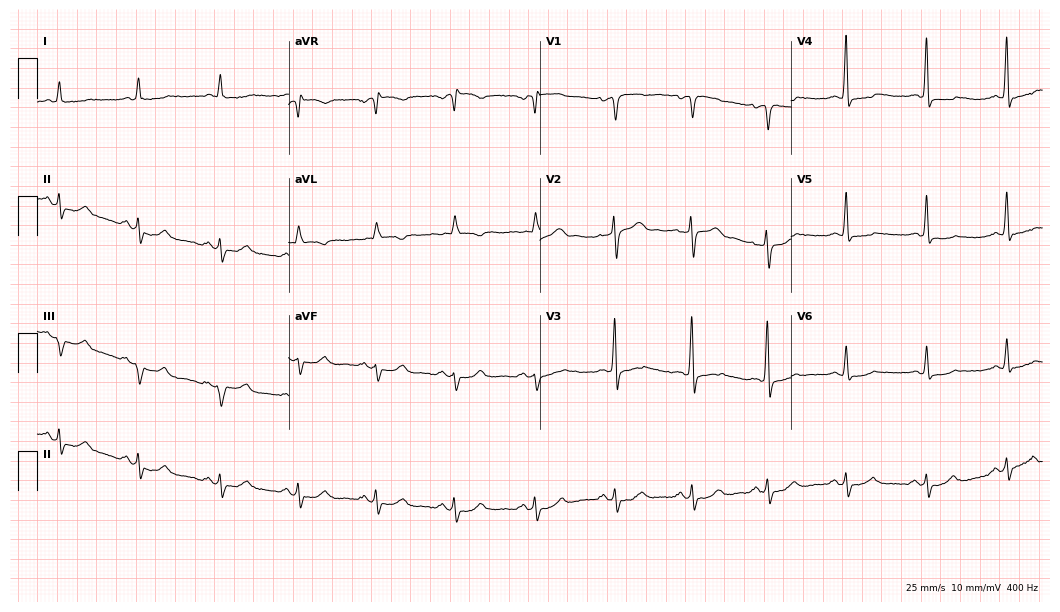
Resting 12-lead electrocardiogram. Patient: a 67-year-old man. None of these six findings is recorded: first-degree AV block, right bundle branch block, left bundle branch block, sinus bradycardia, atrial fibrillation, sinus tachycardia. Only these six findings were labelled.